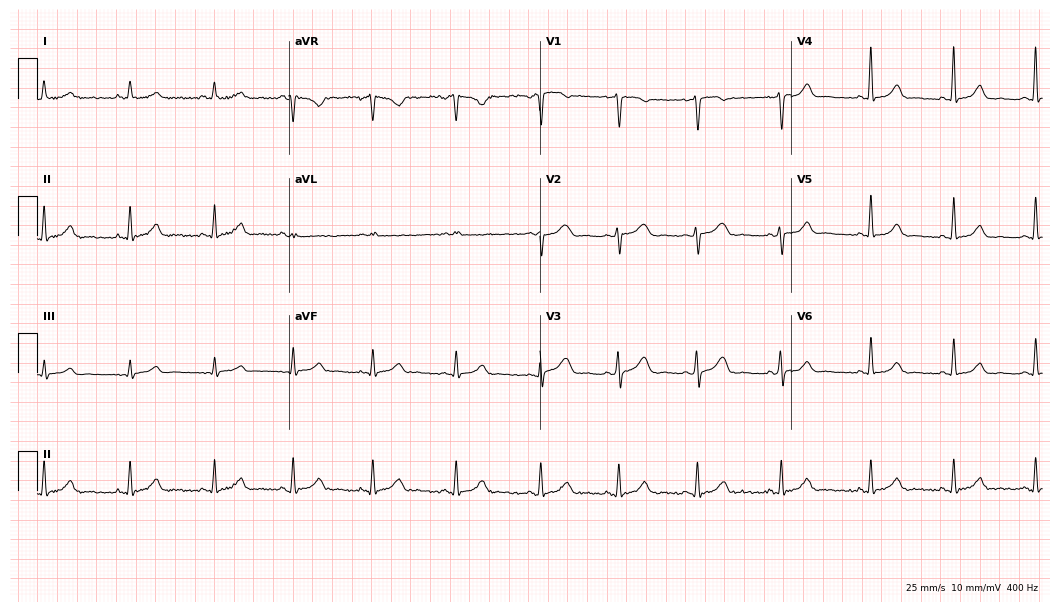
Electrocardiogram, a female, 41 years old. Overall reading on record: normal ECG.